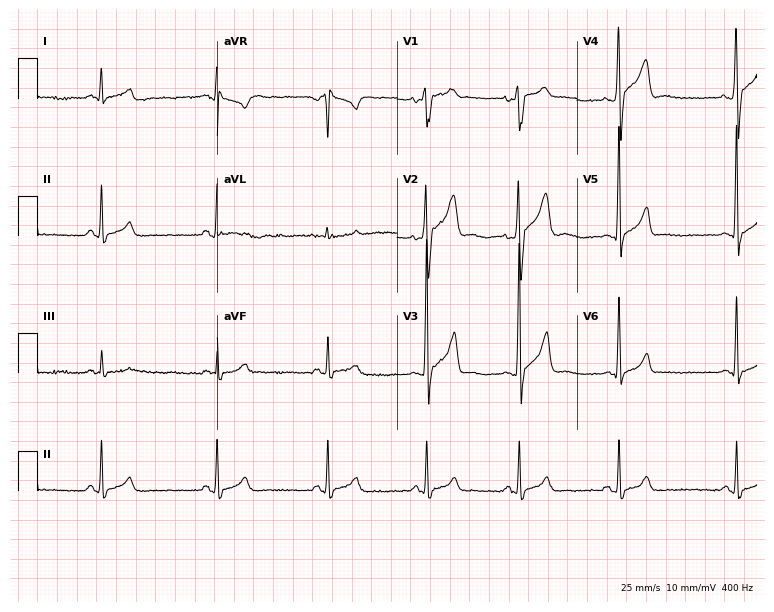
Resting 12-lead electrocardiogram (7.3-second recording at 400 Hz). Patient: a male, 23 years old. Read as a normal ECG.